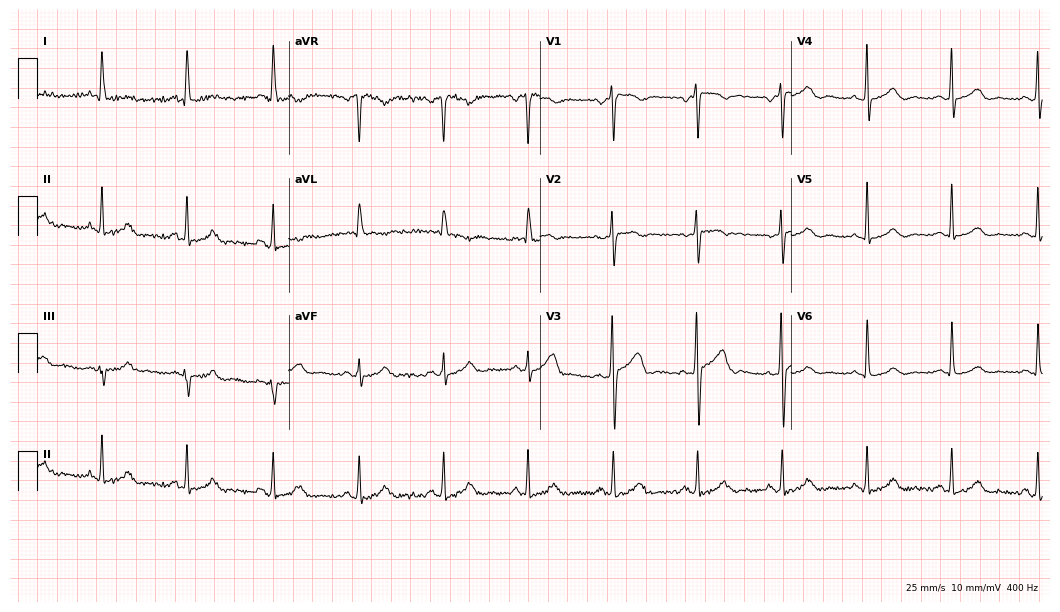
12-lead ECG from a female patient, 47 years old. No first-degree AV block, right bundle branch block, left bundle branch block, sinus bradycardia, atrial fibrillation or sinus tachycardia recorded for this tracing.